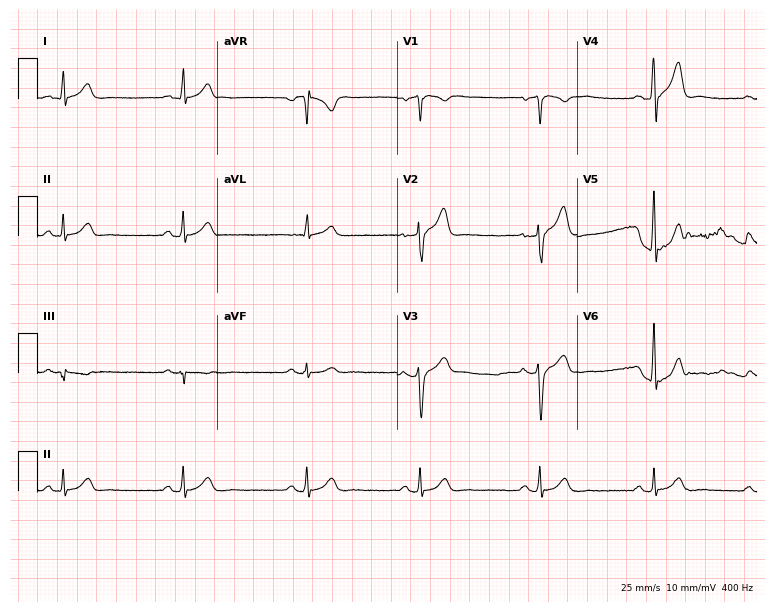
Electrocardiogram (7.3-second recording at 400 Hz), a man, 47 years old. Overall reading on record: normal ECG.